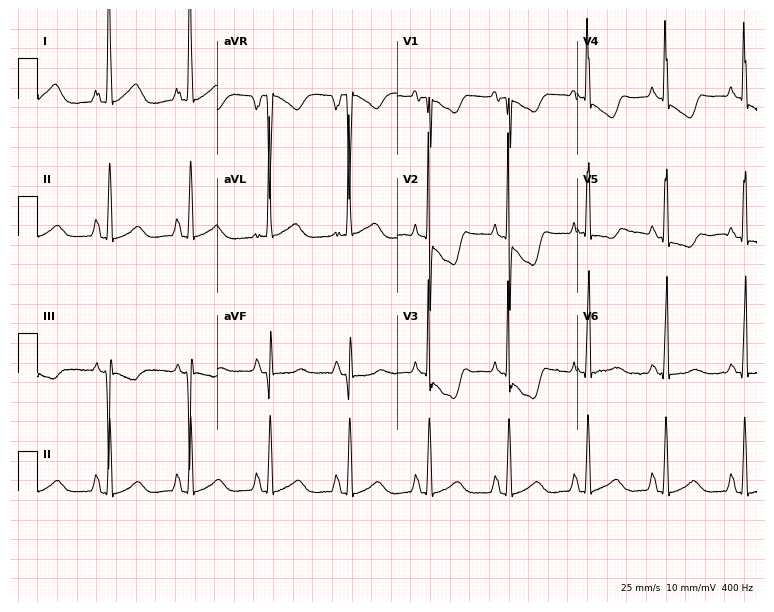
Resting 12-lead electrocardiogram (7.3-second recording at 400 Hz). Patient: a female, 19 years old. None of these six findings is recorded: first-degree AV block, right bundle branch block, left bundle branch block, sinus bradycardia, atrial fibrillation, sinus tachycardia. Findings outside these six are not listed.